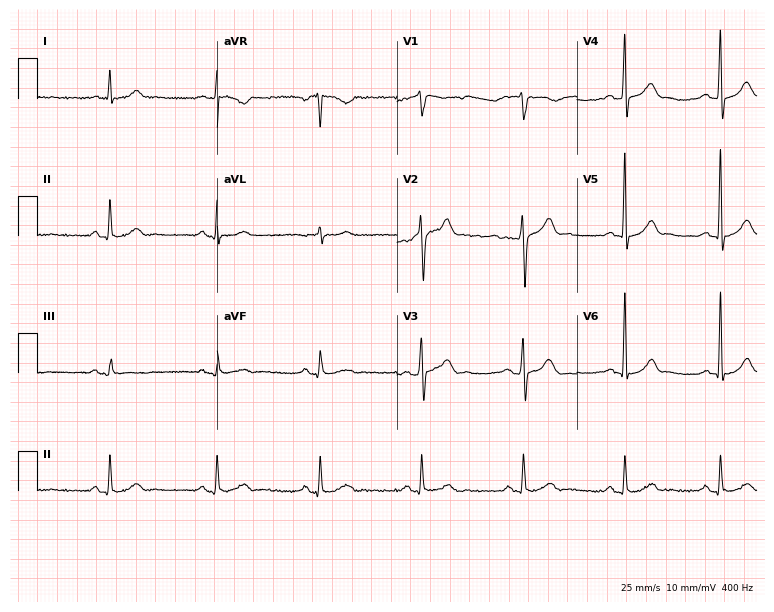
ECG (7.3-second recording at 400 Hz) — a male patient, 47 years old. Screened for six findings — first-degree AV block, right bundle branch block (RBBB), left bundle branch block (LBBB), sinus bradycardia, atrial fibrillation (AF), sinus tachycardia — none is recorded. Findings outside these six are not listed.